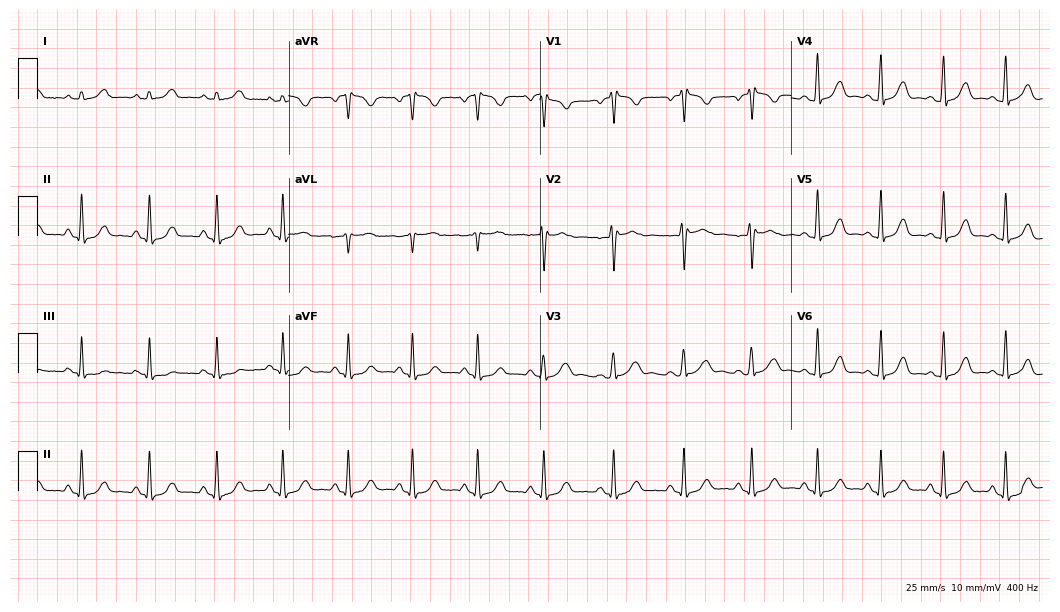
Standard 12-lead ECG recorded from a female patient, 56 years old. None of these six findings is recorded: first-degree AV block, right bundle branch block, left bundle branch block, sinus bradycardia, atrial fibrillation, sinus tachycardia.